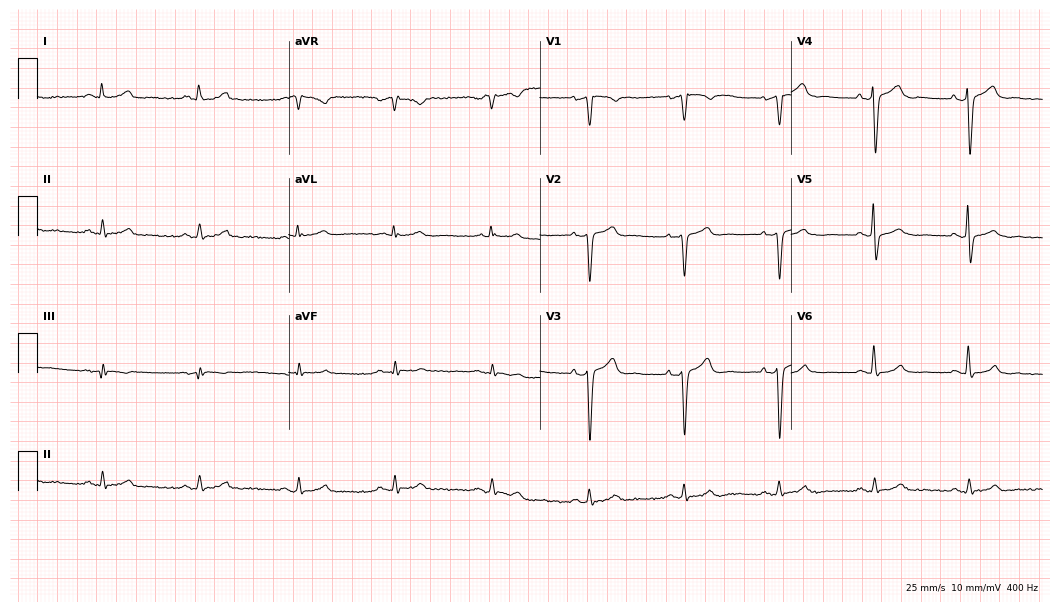
ECG (10.2-second recording at 400 Hz) — a male patient, 66 years old. Labelled as a normal ECG.